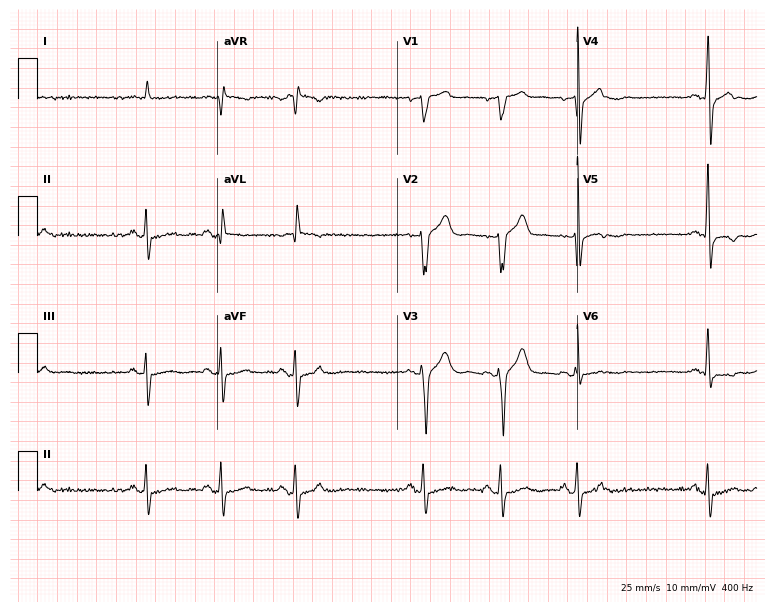
Standard 12-lead ECG recorded from a male, 79 years old. None of these six findings is recorded: first-degree AV block, right bundle branch block, left bundle branch block, sinus bradycardia, atrial fibrillation, sinus tachycardia.